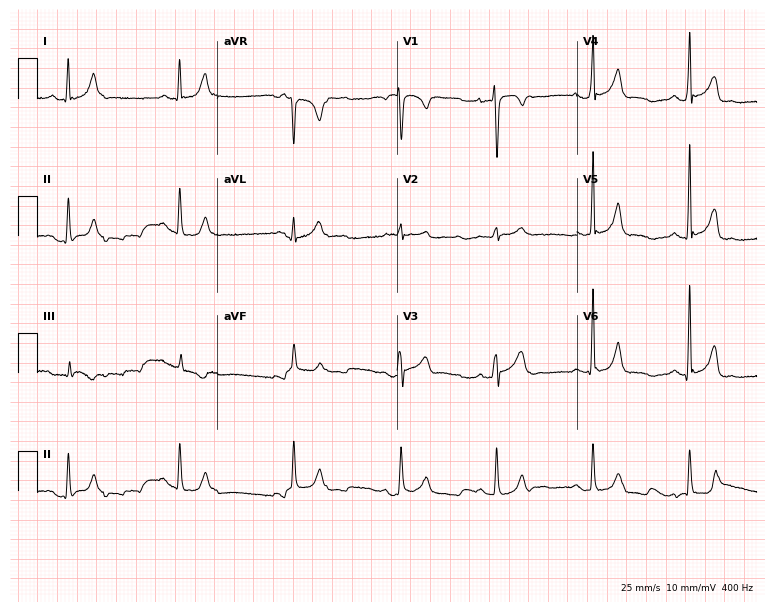
12-lead ECG from a man, 32 years old. Recorded interpretation: within normal limits.